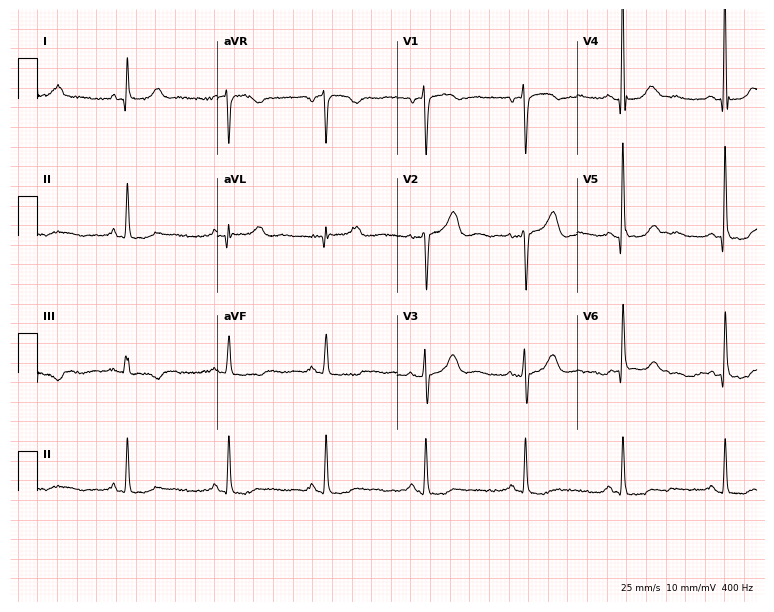
Resting 12-lead electrocardiogram. Patient: a 65-year-old female. None of these six findings is recorded: first-degree AV block, right bundle branch block, left bundle branch block, sinus bradycardia, atrial fibrillation, sinus tachycardia.